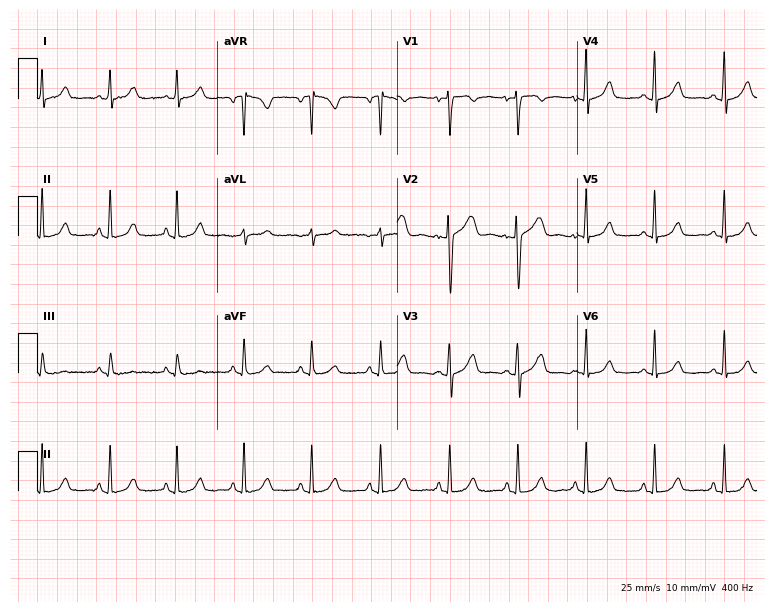
Electrocardiogram (7.3-second recording at 400 Hz), a female, 37 years old. Overall reading on record: normal ECG.